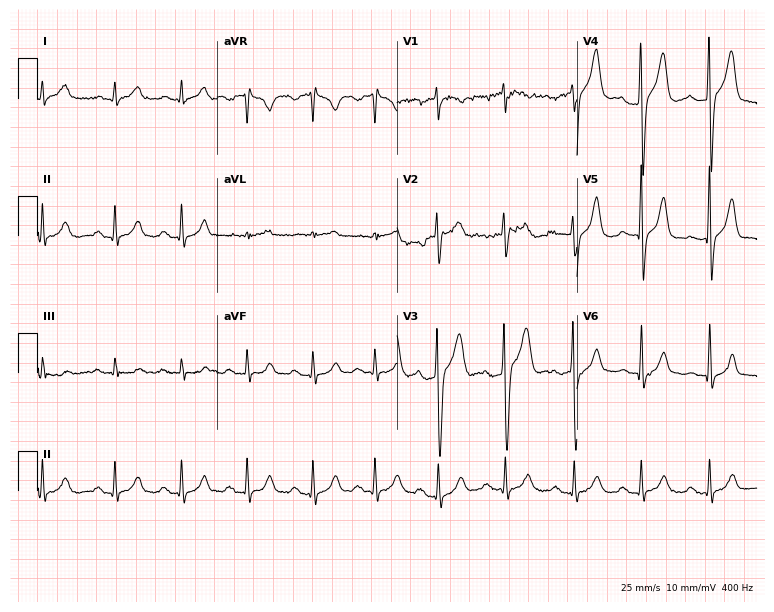
12-lead ECG (7.3-second recording at 400 Hz) from a male, 39 years old. Labelled as a normal ECG.